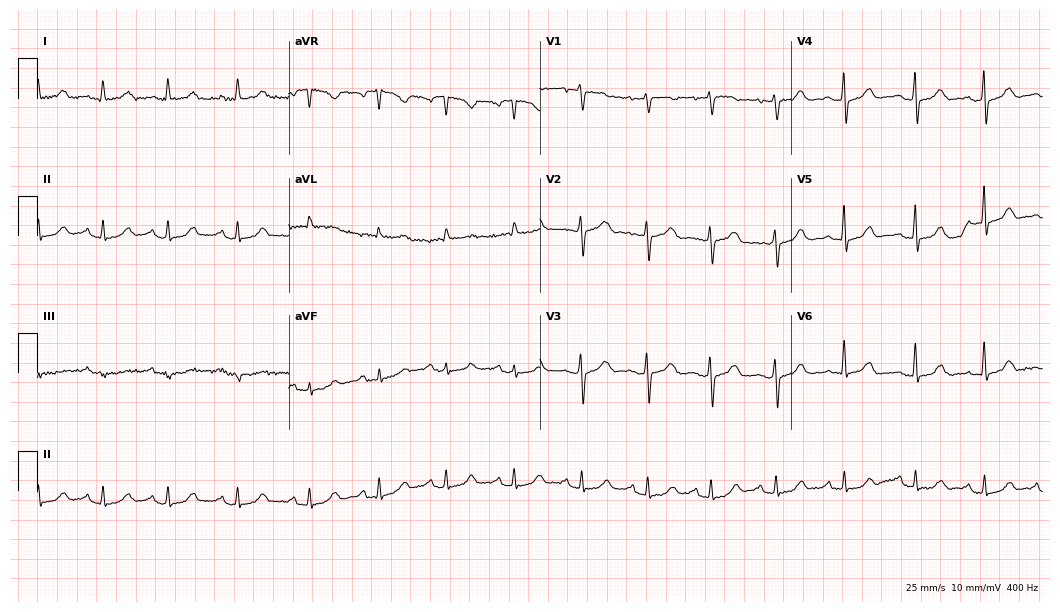
Resting 12-lead electrocardiogram (10.2-second recording at 400 Hz). Patient: a female, 62 years old. Read as a normal ECG.